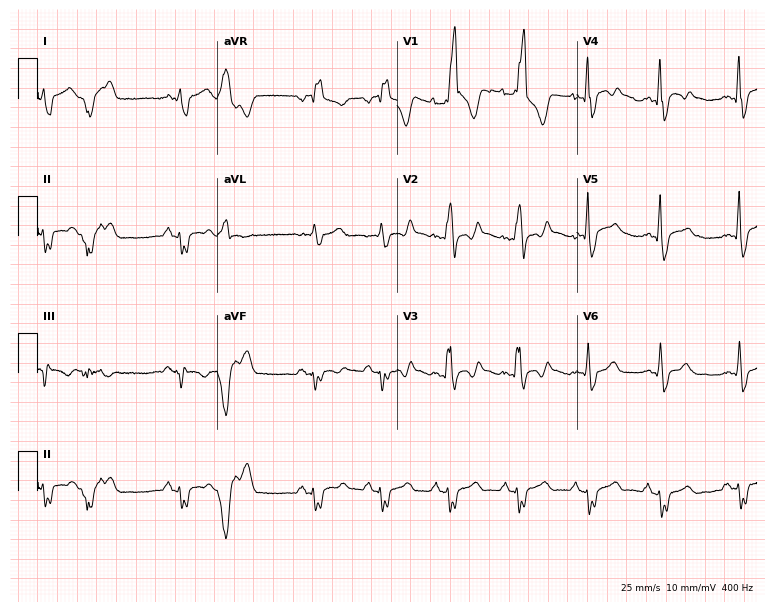
12-lead ECG from a man, 49 years old. Findings include right bundle branch block (RBBB).